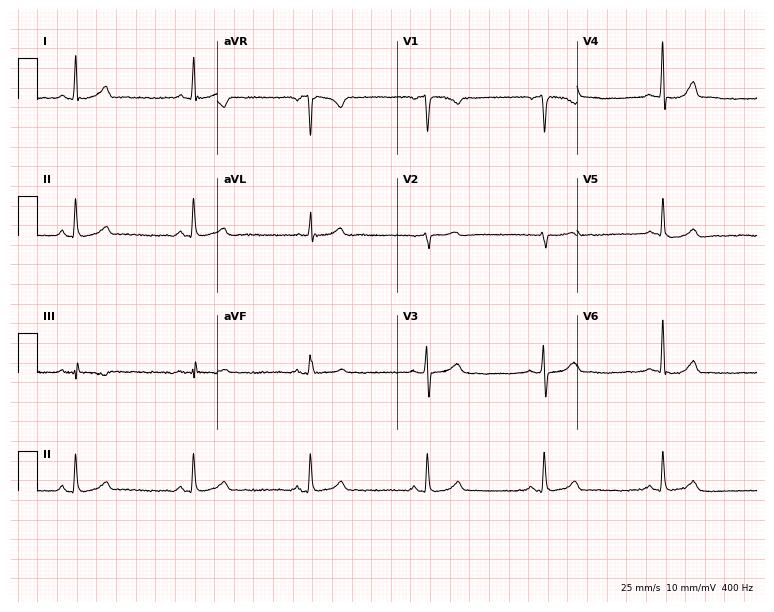
Electrocardiogram (7.3-second recording at 400 Hz), a 43-year-old female patient. Overall reading on record: normal ECG.